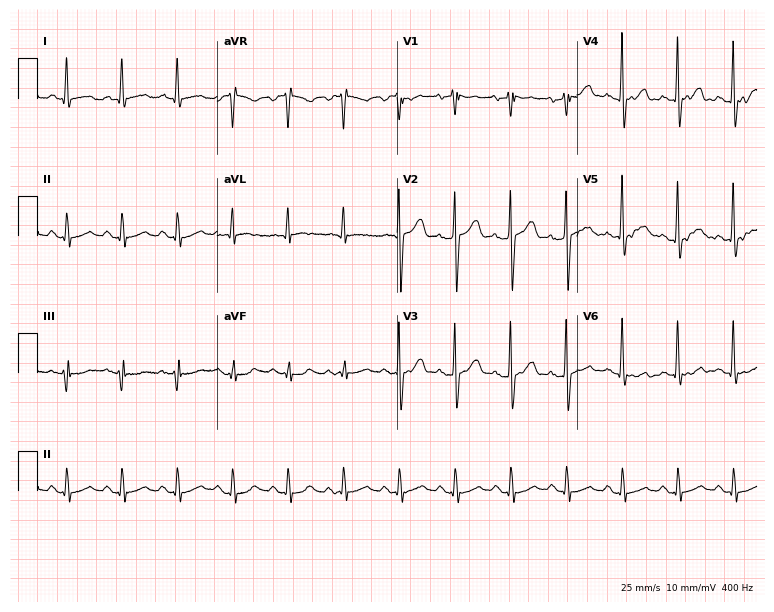
Standard 12-lead ECG recorded from a male patient, 51 years old. The tracing shows sinus tachycardia (a sinus rate of 100 beats per minute or more).